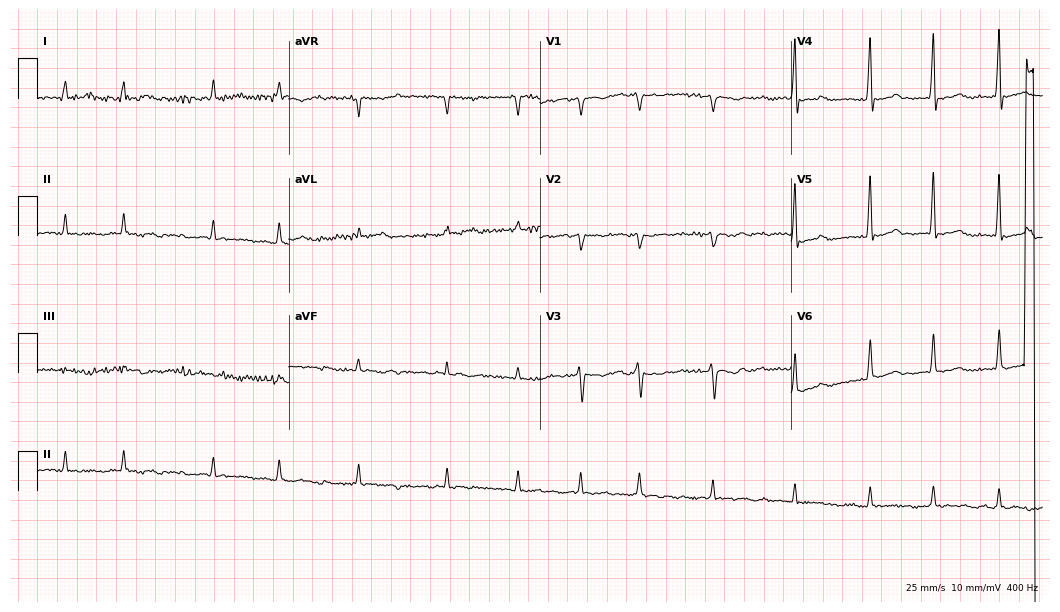
Electrocardiogram, a woman, 83 years old. Interpretation includes atrial fibrillation (AF).